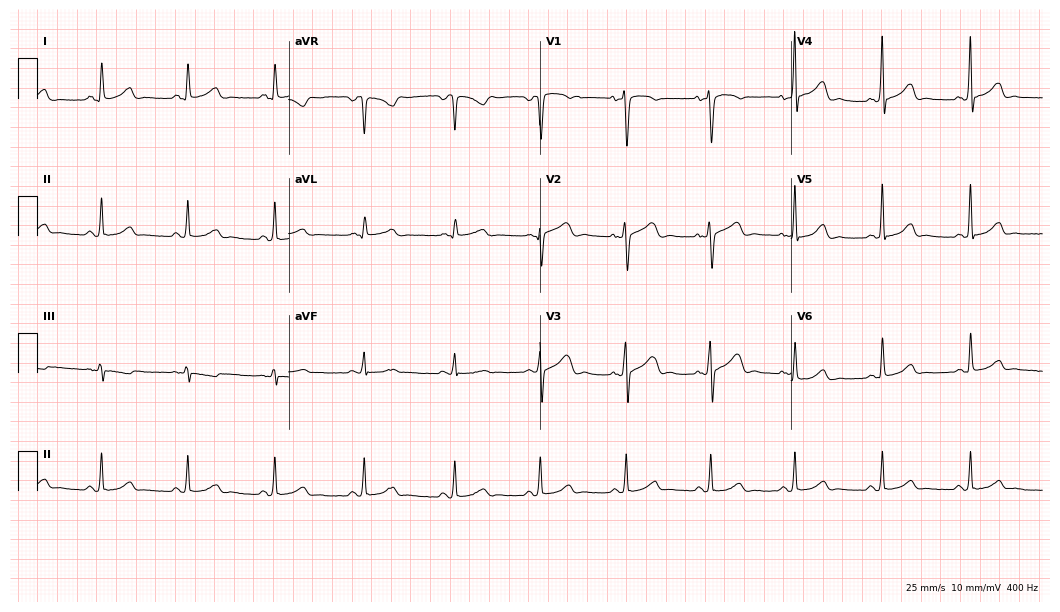
Standard 12-lead ECG recorded from a 29-year-old female patient (10.2-second recording at 400 Hz). Read as a normal ECG.